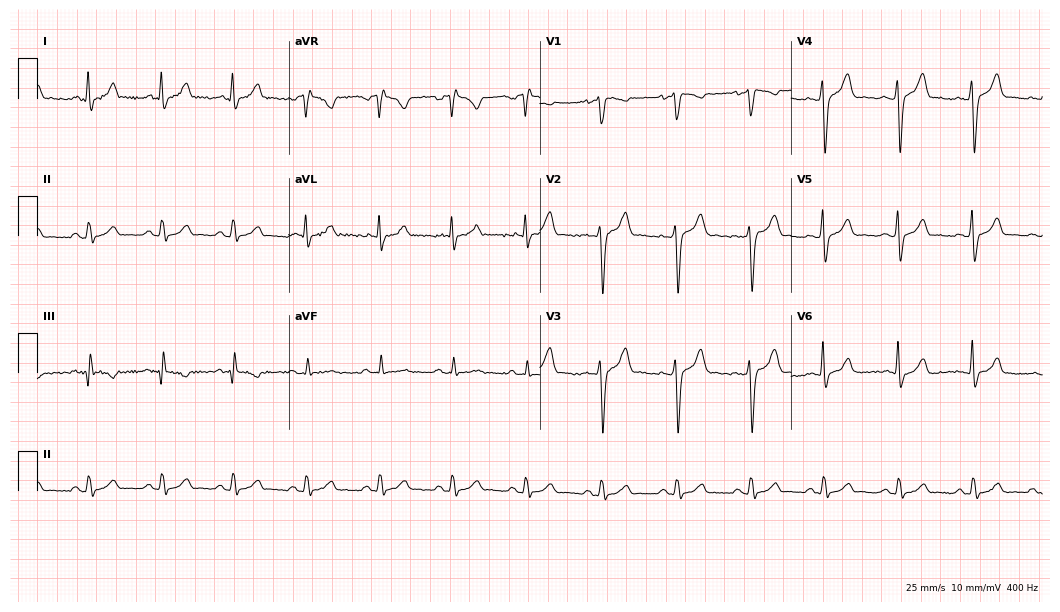
Standard 12-lead ECG recorded from a man, 30 years old (10.2-second recording at 400 Hz). Read as a normal ECG.